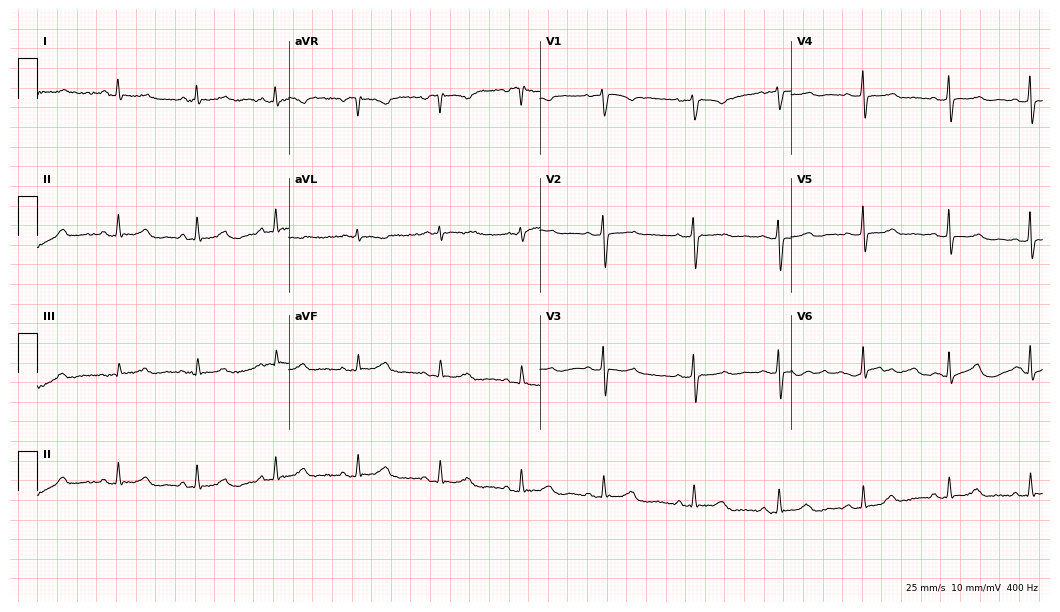
Electrocardiogram (10.2-second recording at 400 Hz), a 55-year-old woman. Of the six screened findings (first-degree AV block, right bundle branch block, left bundle branch block, sinus bradycardia, atrial fibrillation, sinus tachycardia), none is recorded.